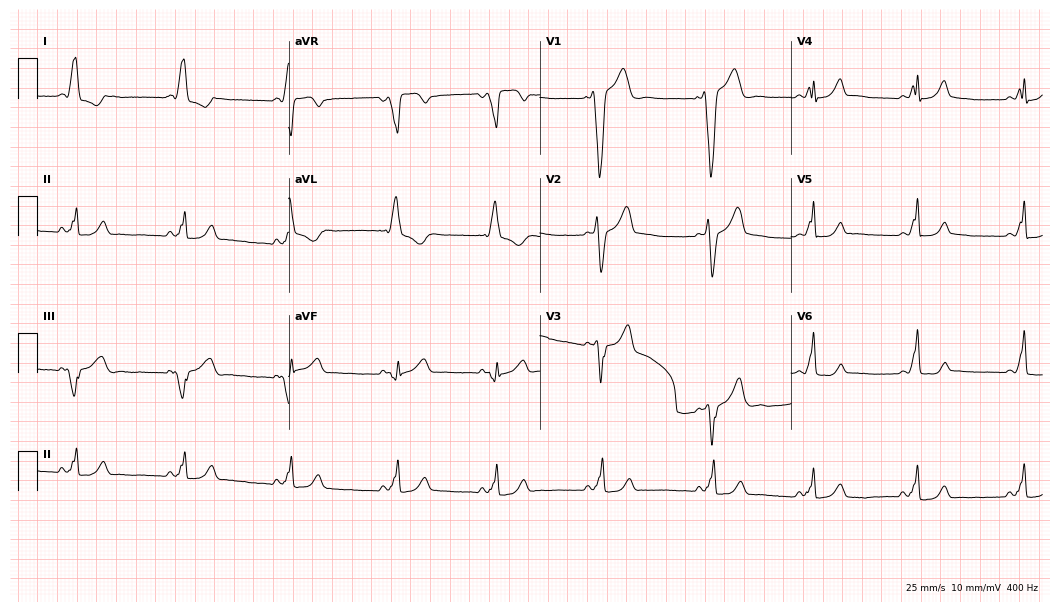
Electrocardiogram, a 20-year-old woman. Of the six screened findings (first-degree AV block, right bundle branch block, left bundle branch block, sinus bradycardia, atrial fibrillation, sinus tachycardia), none is recorded.